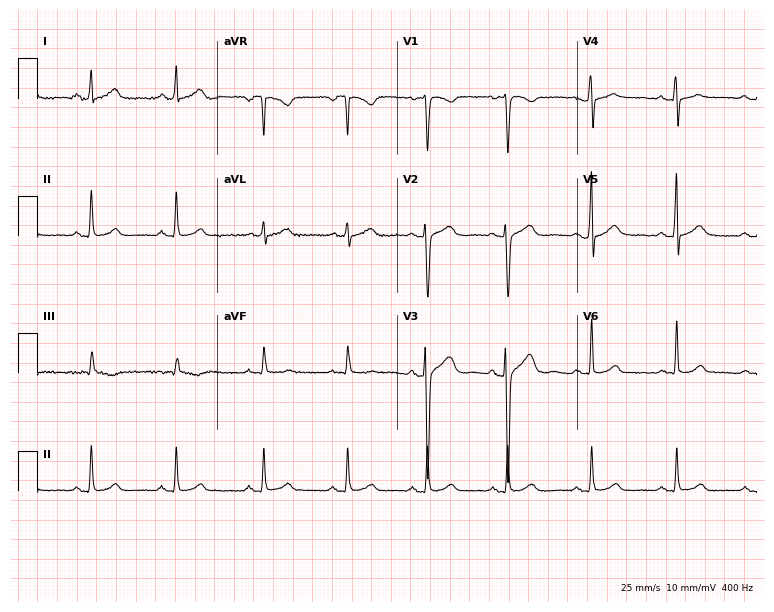
12-lead ECG from a 36-year-old male. No first-degree AV block, right bundle branch block, left bundle branch block, sinus bradycardia, atrial fibrillation or sinus tachycardia recorded for this tracing. Only these six findings were labelled.